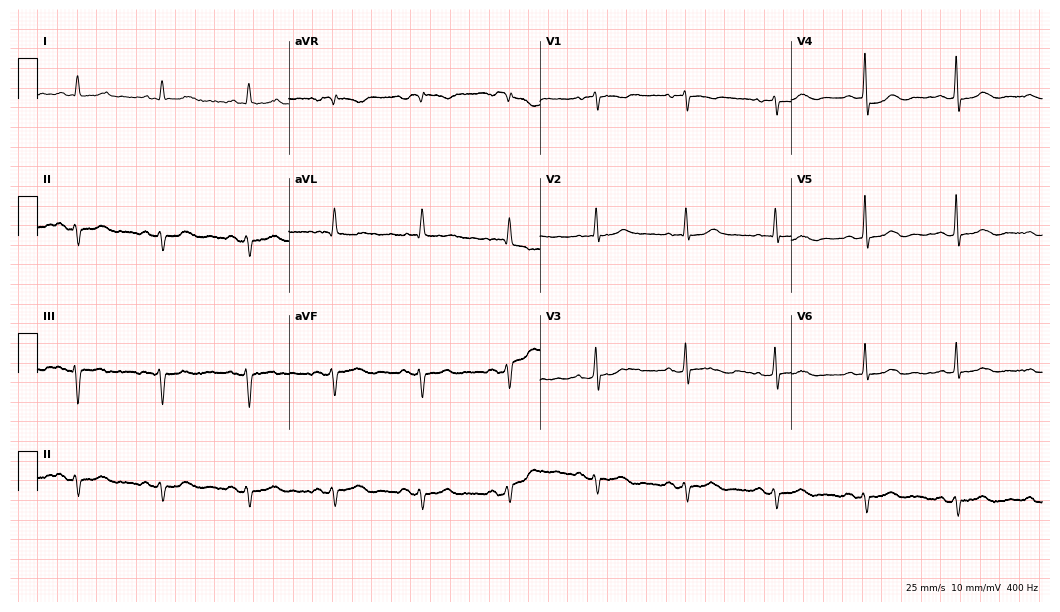
ECG (10.2-second recording at 400 Hz) — a woman, 82 years old. Screened for six findings — first-degree AV block, right bundle branch block, left bundle branch block, sinus bradycardia, atrial fibrillation, sinus tachycardia — none is recorded. Findings outside these six are not listed.